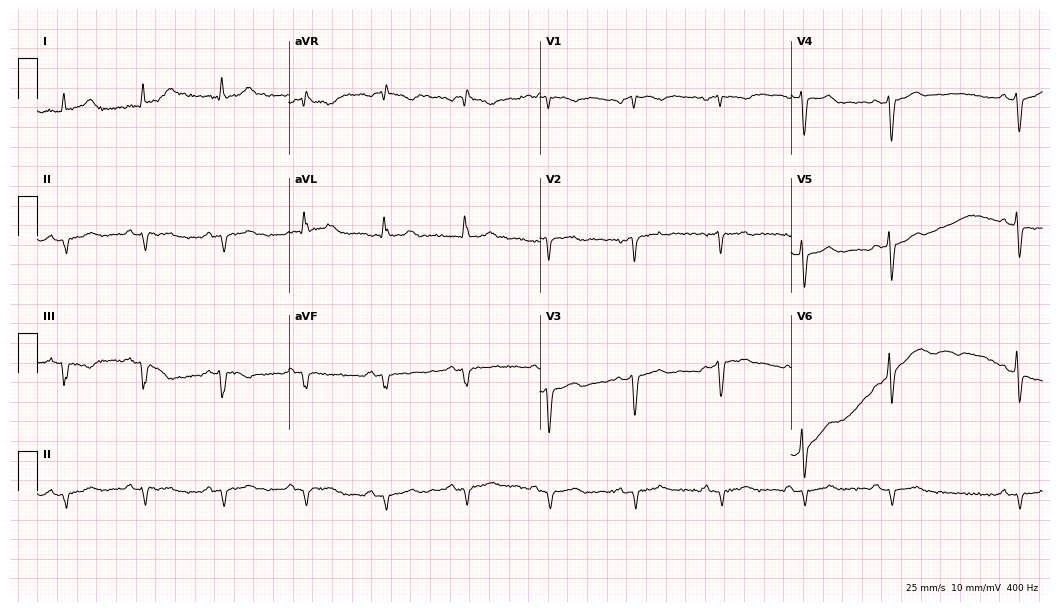
Standard 12-lead ECG recorded from a male, 69 years old. None of these six findings is recorded: first-degree AV block, right bundle branch block (RBBB), left bundle branch block (LBBB), sinus bradycardia, atrial fibrillation (AF), sinus tachycardia.